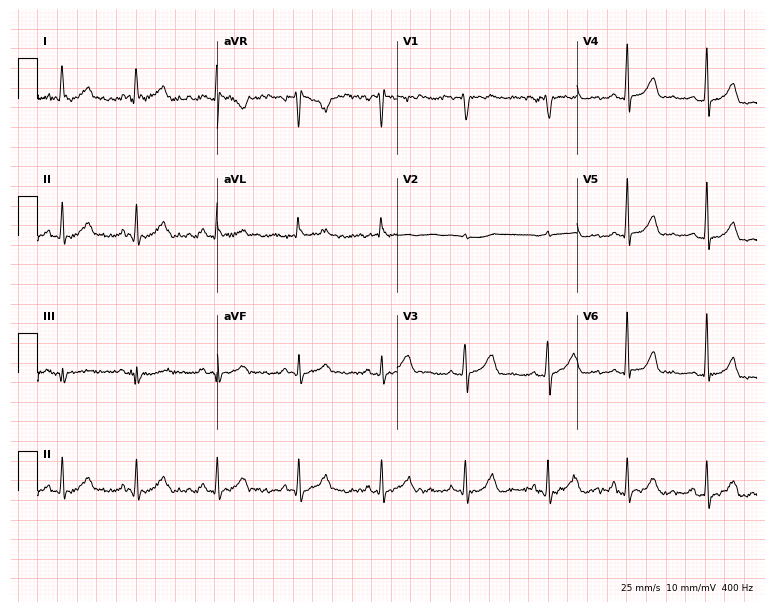
ECG — a 33-year-old female patient. Labelled as a normal ECG.